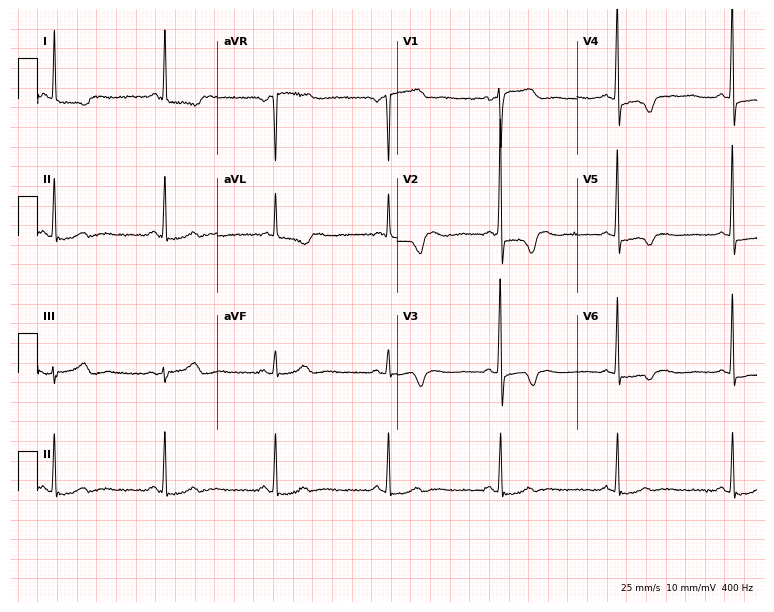
ECG (7.3-second recording at 400 Hz) — a female, 73 years old. Screened for six findings — first-degree AV block, right bundle branch block, left bundle branch block, sinus bradycardia, atrial fibrillation, sinus tachycardia — none is recorded. Only these six findings were labelled.